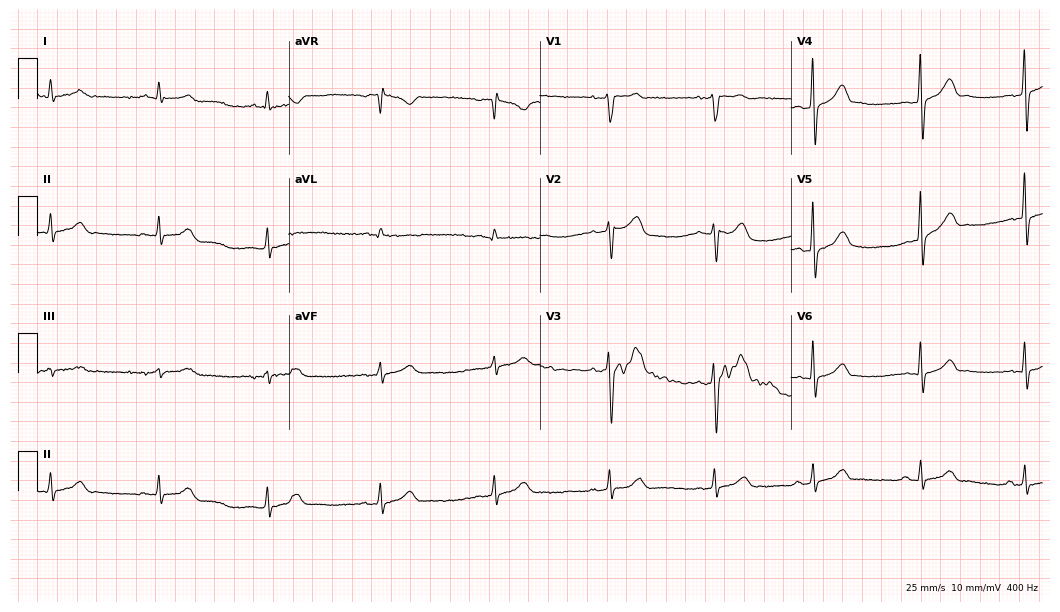
Resting 12-lead electrocardiogram. Patient: a male, 50 years old. Read as a normal ECG.